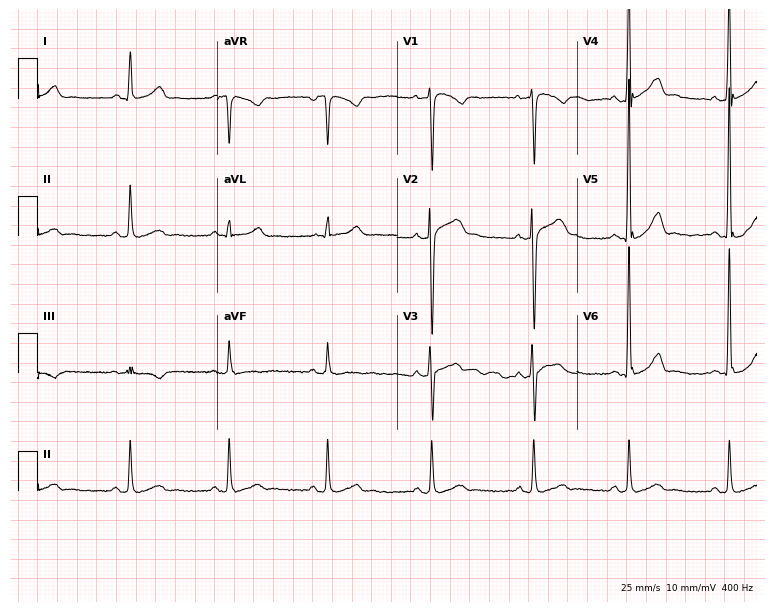
Standard 12-lead ECG recorded from a male patient, 41 years old. Read as a normal ECG.